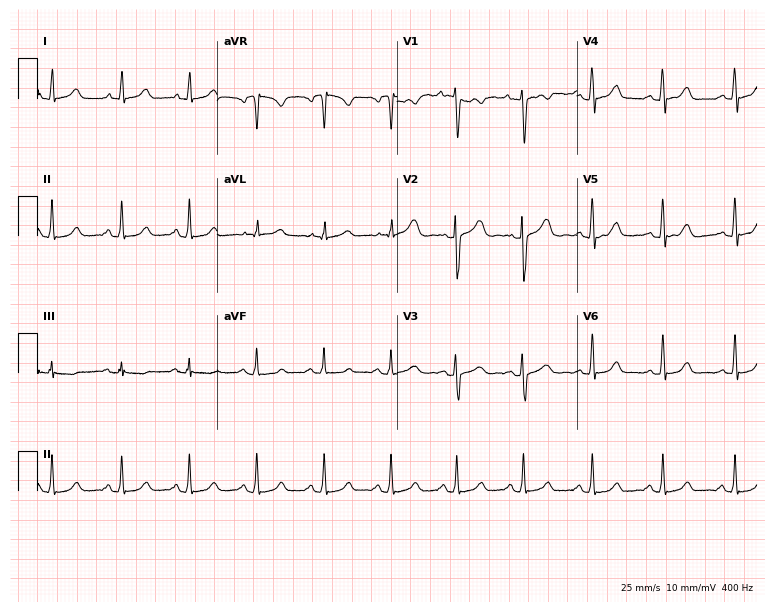
Resting 12-lead electrocardiogram (7.3-second recording at 400 Hz). Patient: a woman, 25 years old. Read as a normal ECG.